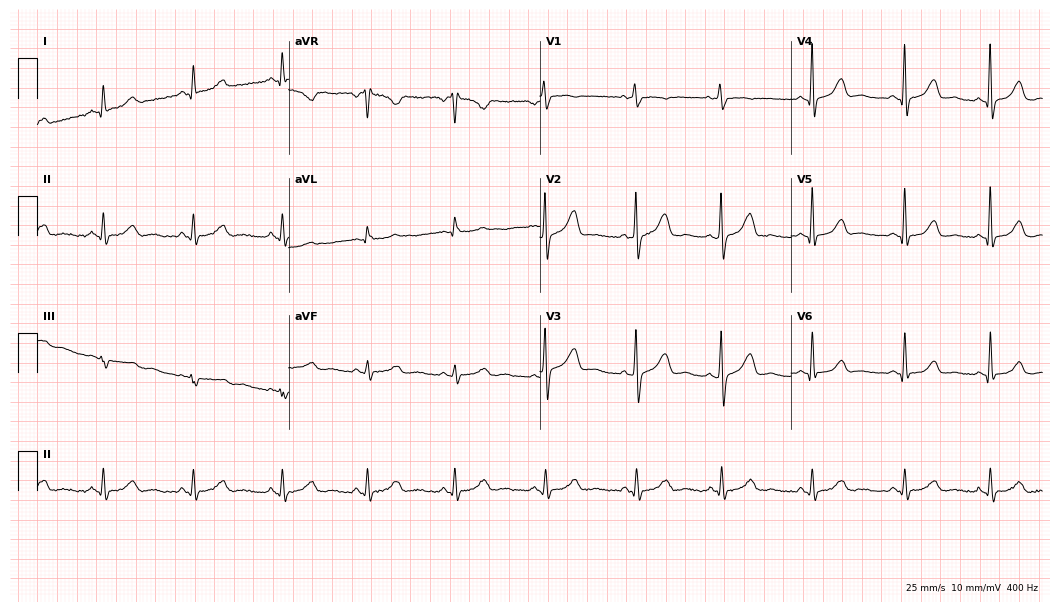
12-lead ECG from a female, 42 years old. Labelled as a normal ECG.